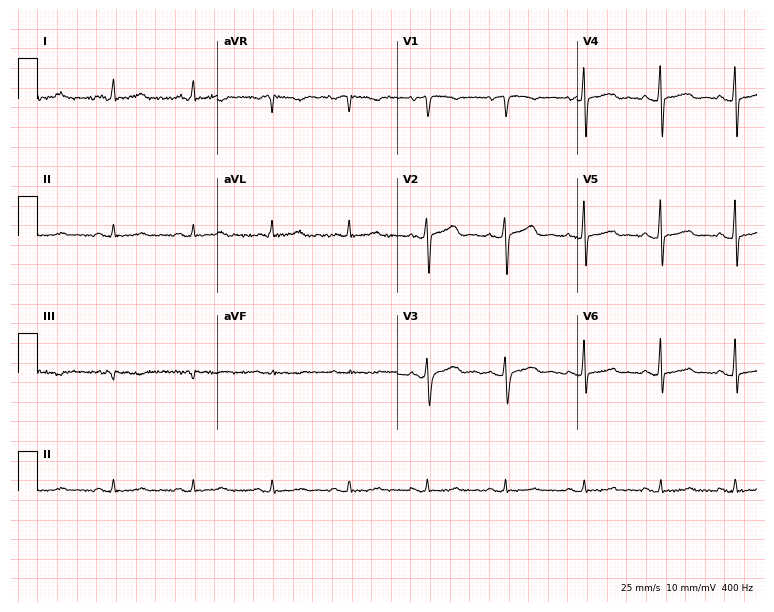
Standard 12-lead ECG recorded from a female, 46 years old. Read as a normal ECG.